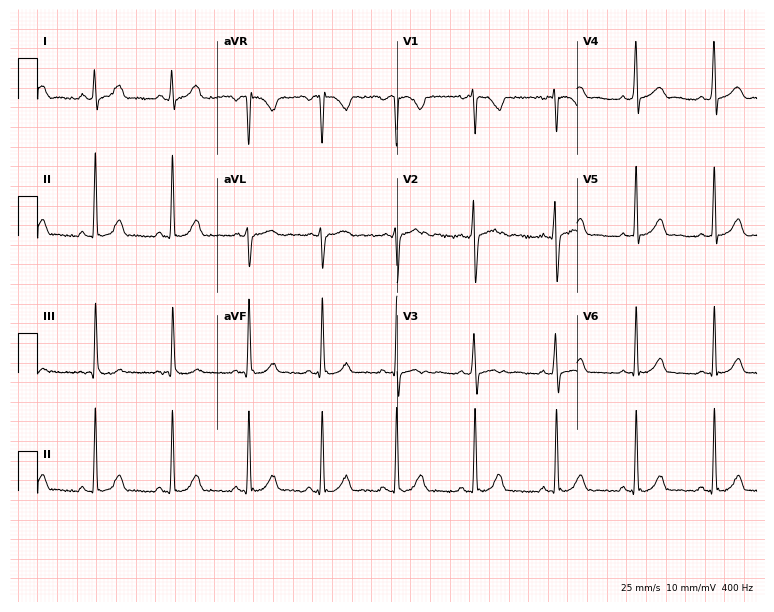
Resting 12-lead electrocardiogram (7.3-second recording at 400 Hz). Patient: a woman, 30 years old. Read as a normal ECG.